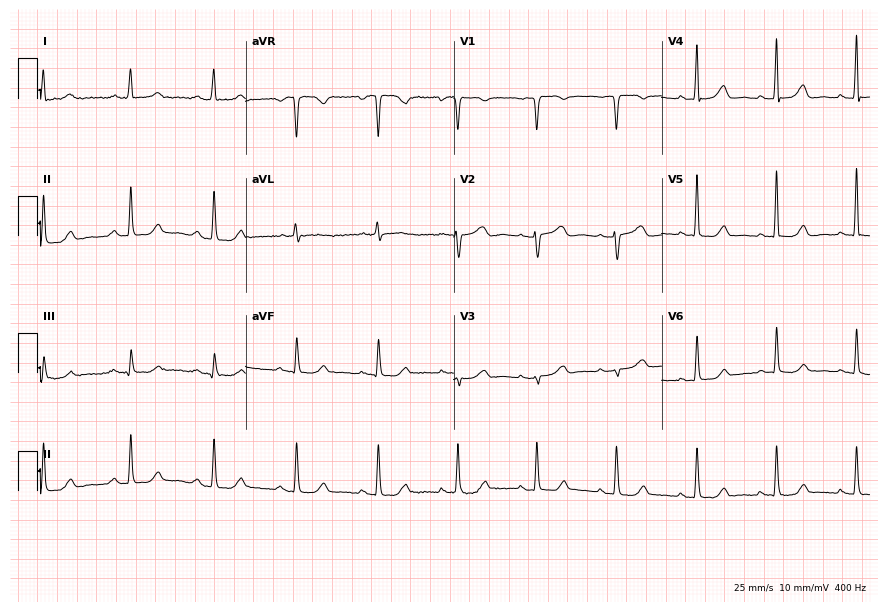
12-lead ECG from a female patient, 62 years old. Screened for six findings — first-degree AV block, right bundle branch block, left bundle branch block, sinus bradycardia, atrial fibrillation, sinus tachycardia — none is recorded.